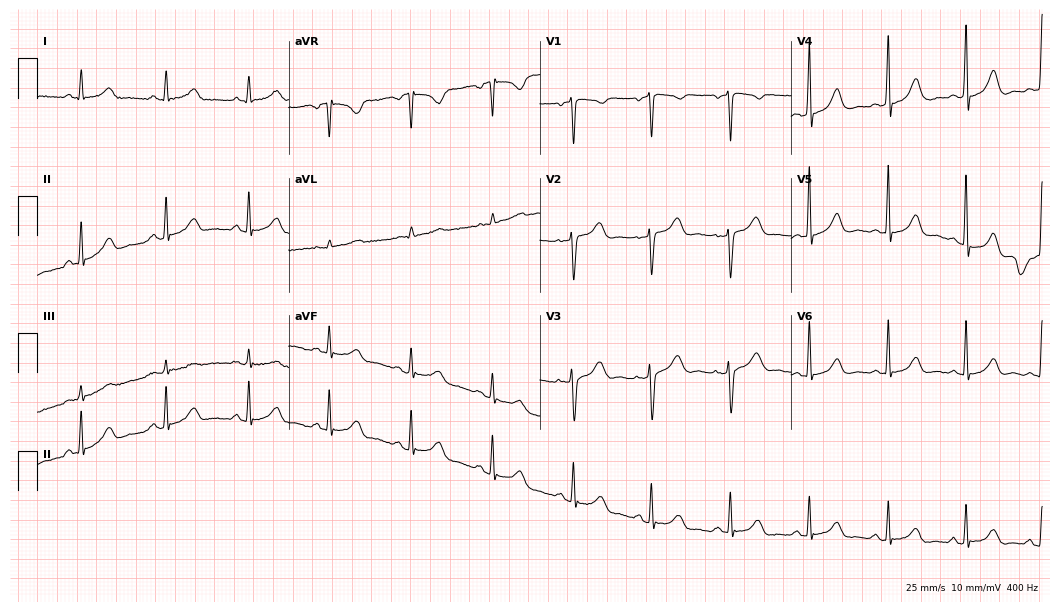
12-lead ECG from a woman, 56 years old. Screened for six findings — first-degree AV block, right bundle branch block, left bundle branch block, sinus bradycardia, atrial fibrillation, sinus tachycardia — none is recorded.